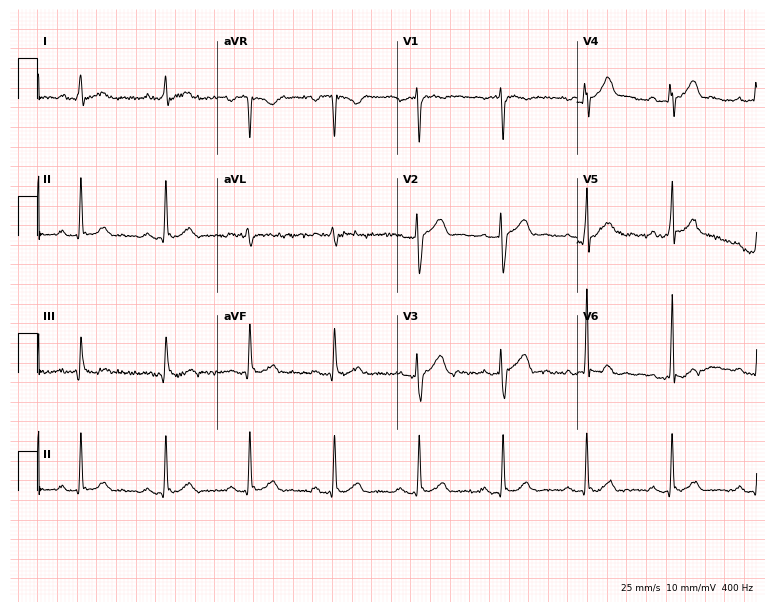
ECG (7.3-second recording at 400 Hz) — a male, 34 years old. Labelled as a normal ECG.